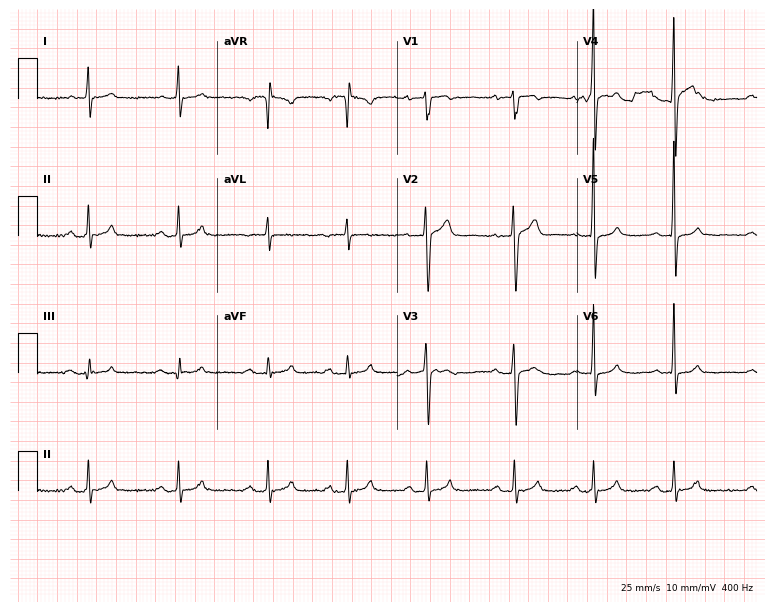
12-lead ECG from a male patient, 37 years old. No first-degree AV block, right bundle branch block, left bundle branch block, sinus bradycardia, atrial fibrillation or sinus tachycardia recorded for this tracing.